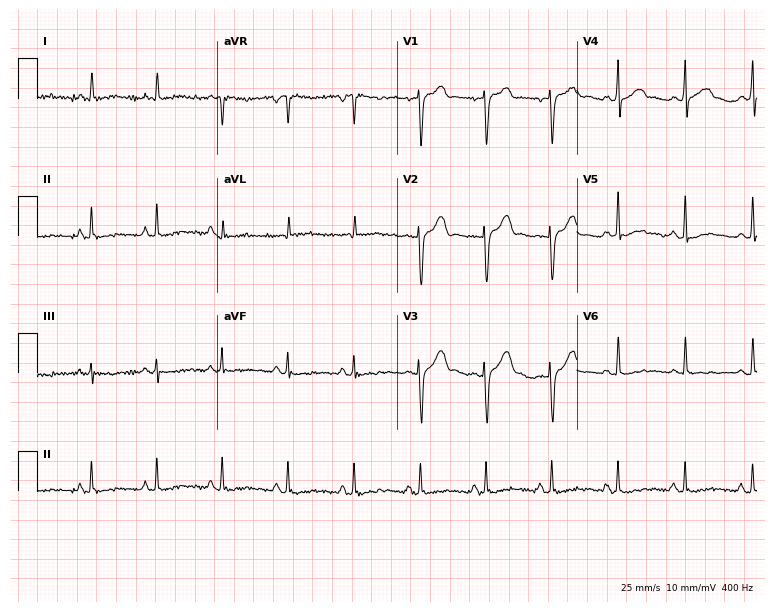
Resting 12-lead electrocardiogram. Patient: a man, 50 years old. None of these six findings is recorded: first-degree AV block, right bundle branch block (RBBB), left bundle branch block (LBBB), sinus bradycardia, atrial fibrillation (AF), sinus tachycardia.